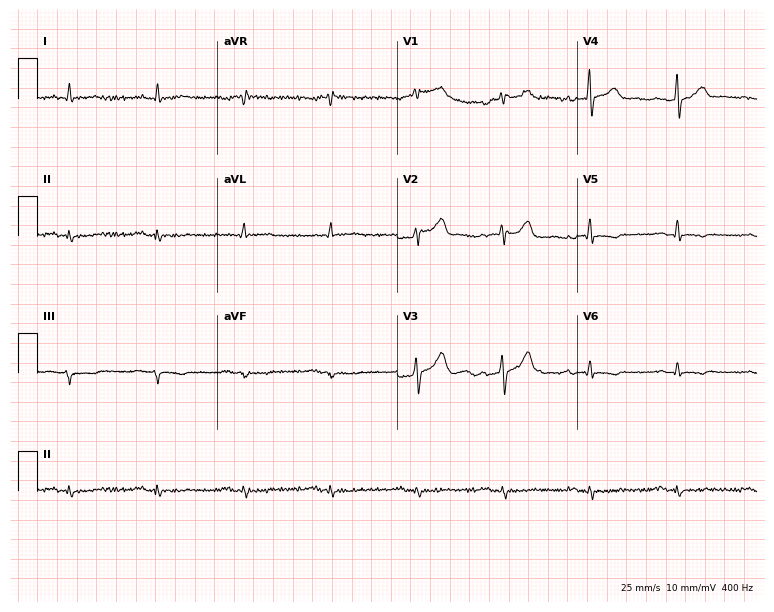
12-lead ECG from a 68-year-old man. Labelled as a normal ECG.